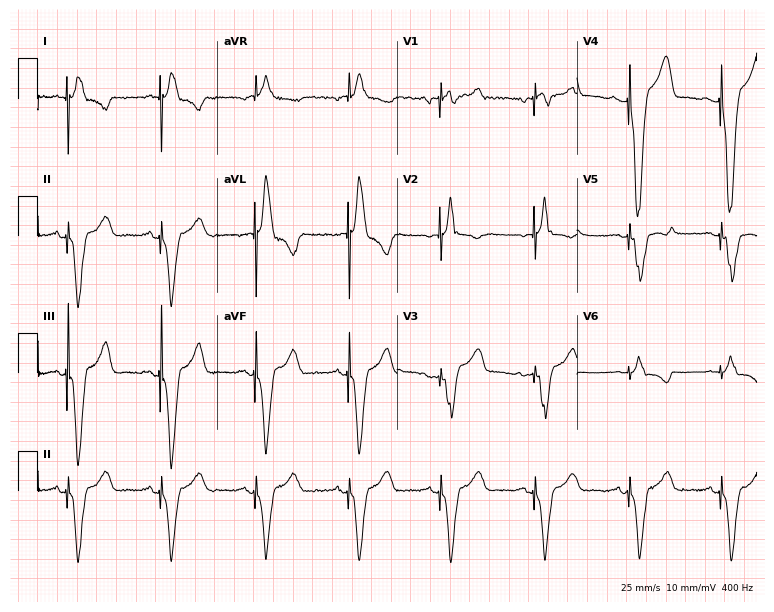
Resting 12-lead electrocardiogram (7.3-second recording at 400 Hz). Patient: an 81-year-old man. None of these six findings is recorded: first-degree AV block, right bundle branch block, left bundle branch block, sinus bradycardia, atrial fibrillation, sinus tachycardia.